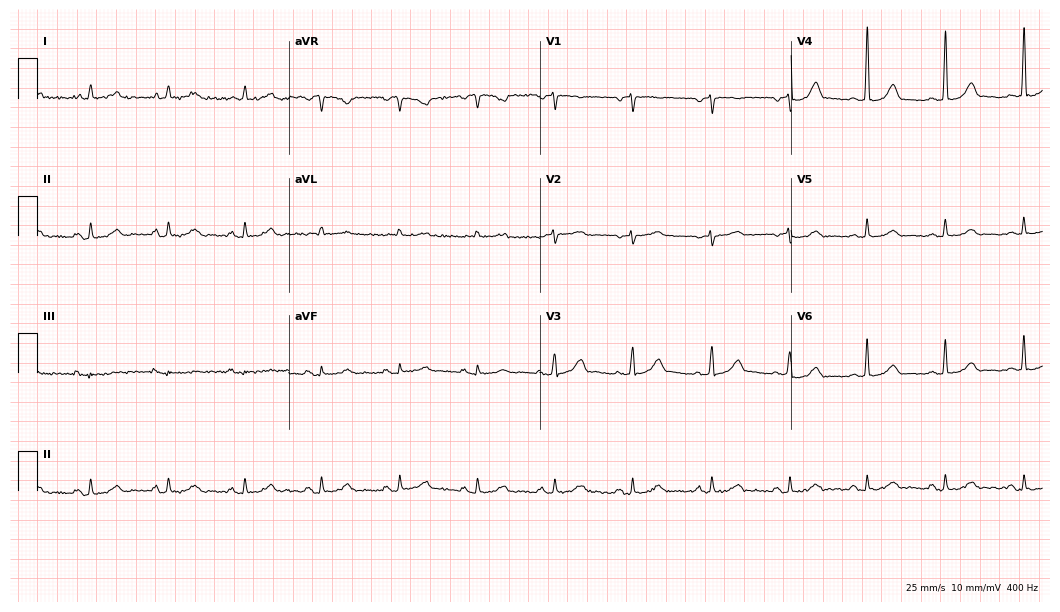
Resting 12-lead electrocardiogram (10.2-second recording at 400 Hz). Patient: a woman, 50 years old. Read as a normal ECG.